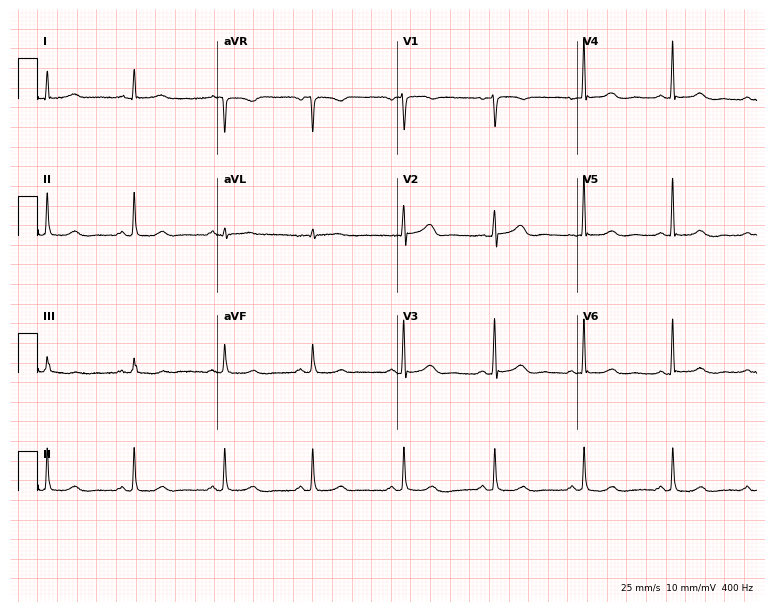
Standard 12-lead ECG recorded from a 50-year-old man (7.3-second recording at 400 Hz). Read as a normal ECG.